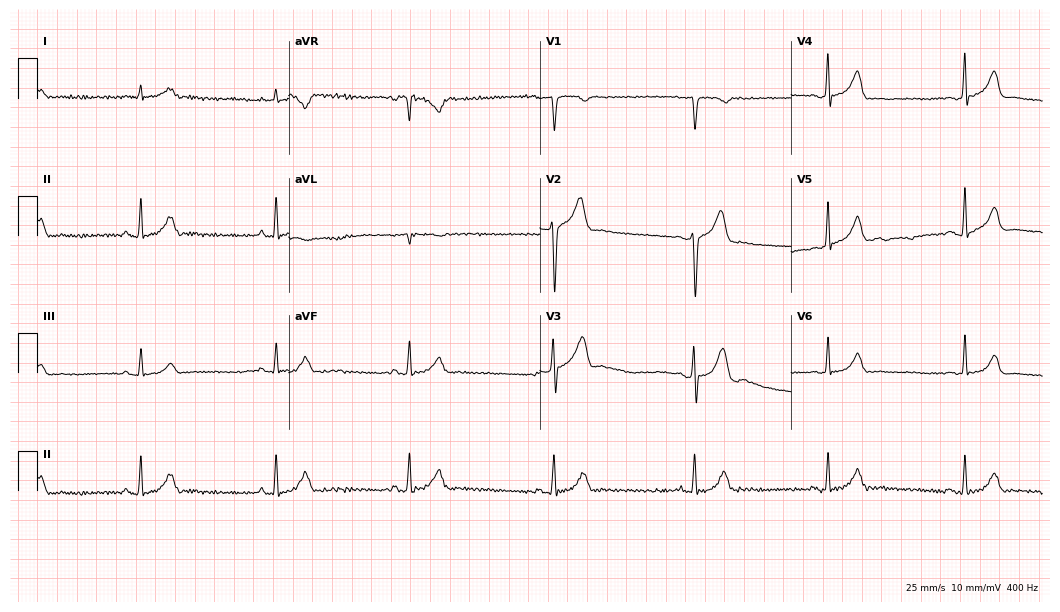
Resting 12-lead electrocardiogram. Patient: a 51-year-old male. None of these six findings is recorded: first-degree AV block, right bundle branch block, left bundle branch block, sinus bradycardia, atrial fibrillation, sinus tachycardia. Findings outside these six are not listed.